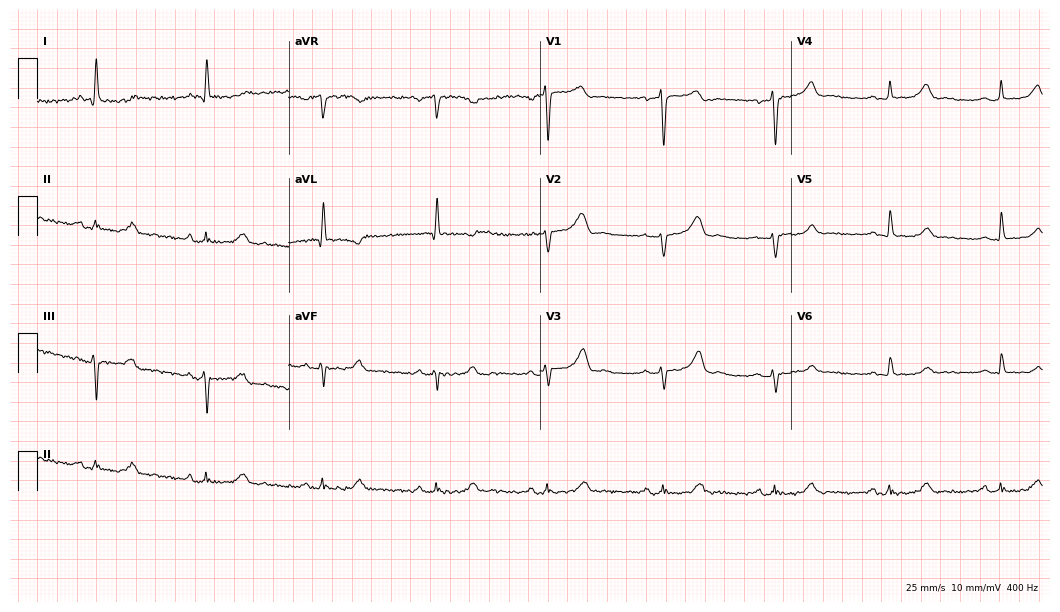
Standard 12-lead ECG recorded from a female, 53 years old. Read as a normal ECG.